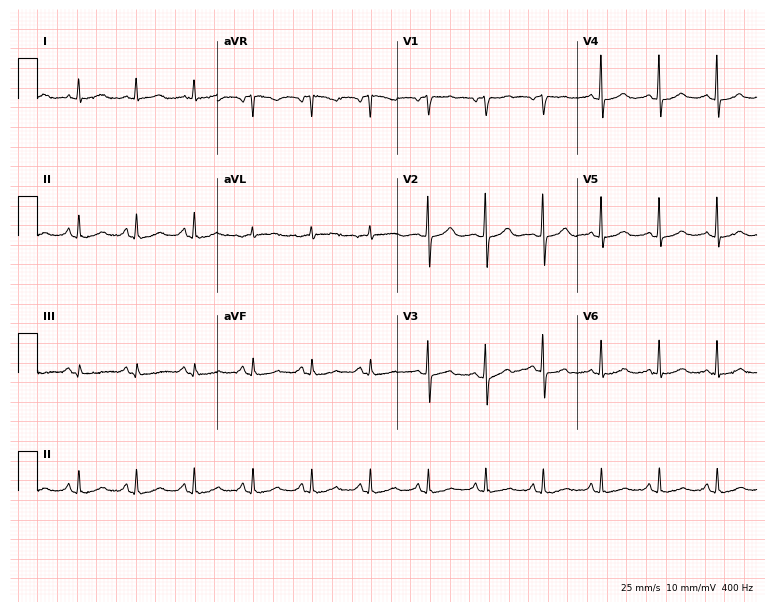
12-lead ECG (7.3-second recording at 400 Hz) from a 59-year-old female patient. Screened for six findings — first-degree AV block, right bundle branch block, left bundle branch block, sinus bradycardia, atrial fibrillation, sinus tachycardia — none is recorded.